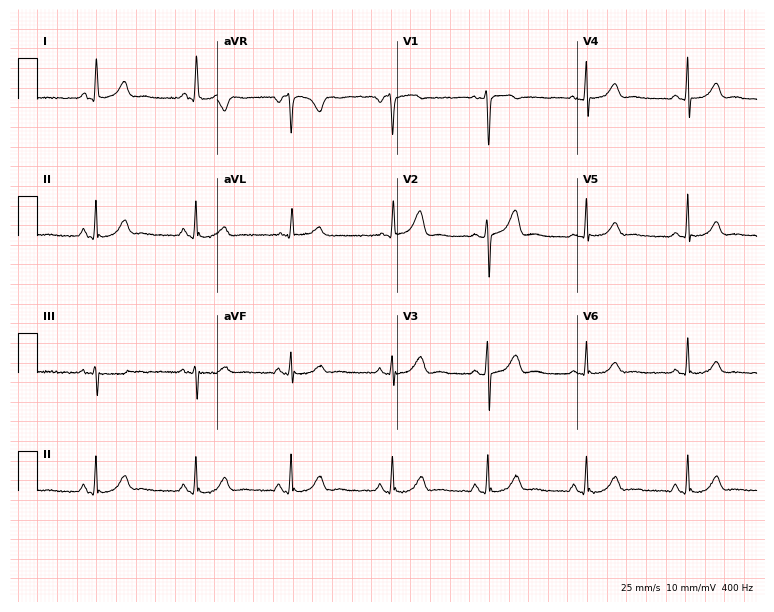
Electrocardiogram, a 33-year-old woman. Overall reading on record: normal ECG.